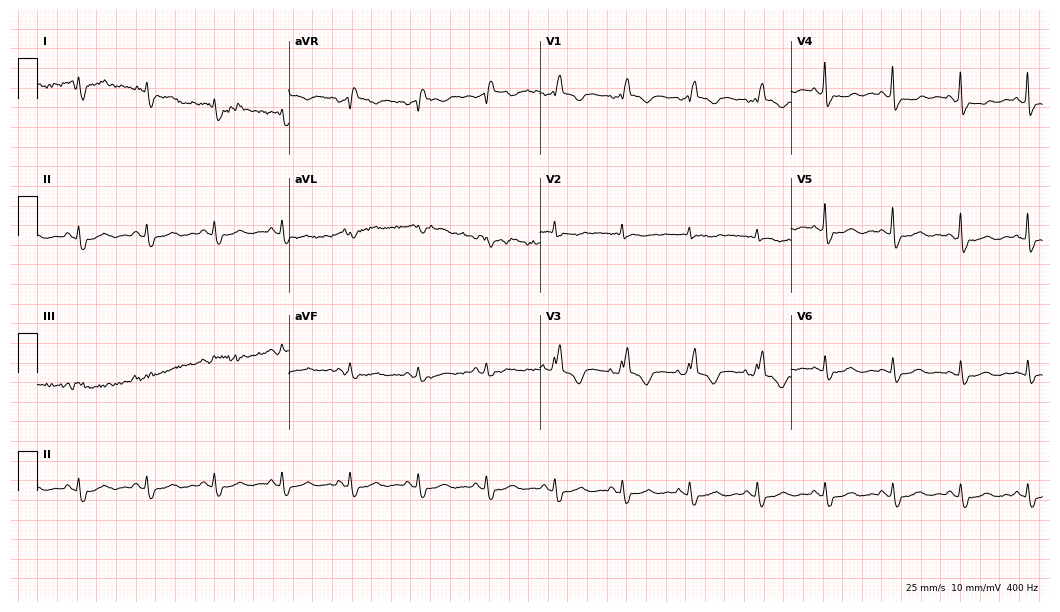
ECG (10.2-second recording at 400 Hz) — a 67-year-old woman. Screened for six findings — first-degree AV block, right bundle branch block, left bundle branch block, sinus bradycardia, atrial fibrillation, sinus tachycardia — none is recorded.